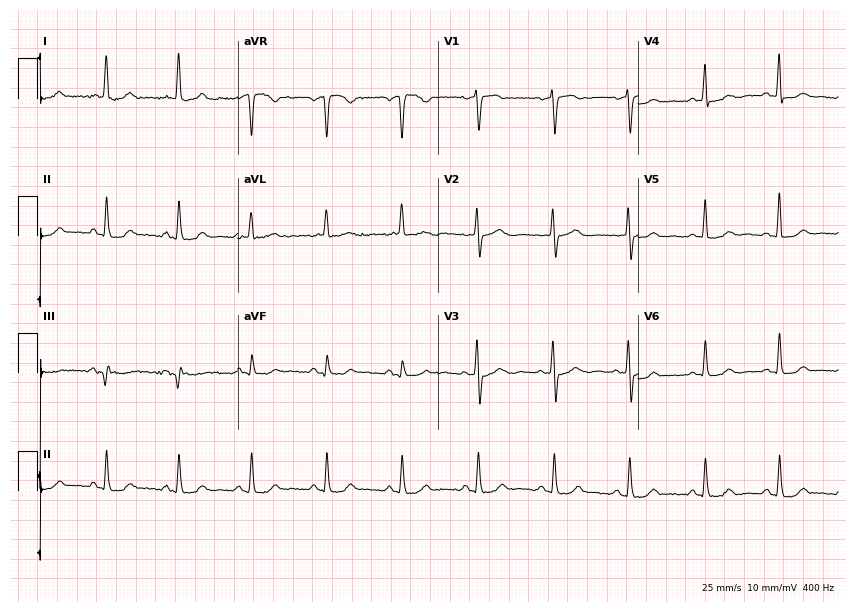
12-lead ECG from a female patient, 58 years old. Screened for six findings — first-degree AV block, right bundle branch block, left bundle branch block, sinus bradycardia, atrial fibrillation, sinus tachycardia — none is recorded.